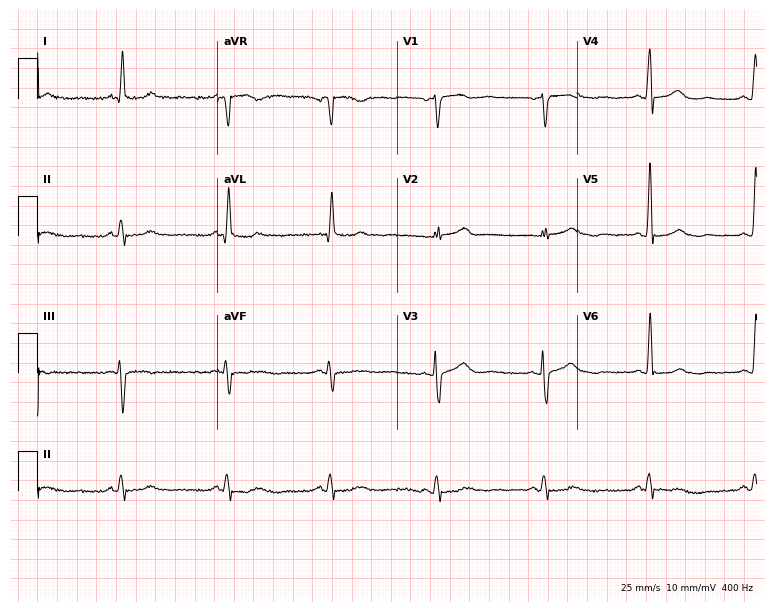
Electrocardiogram (7.3-second recording at 400 Hz), a 70-year-old female patient. Of the six screened findings (first-degree AV block, right bundle branch block (RBBB), left bundle branch block (LBBB), sinus bradycardia, atrial fibrillation (AF), sinus tachycardia), none is recorded.